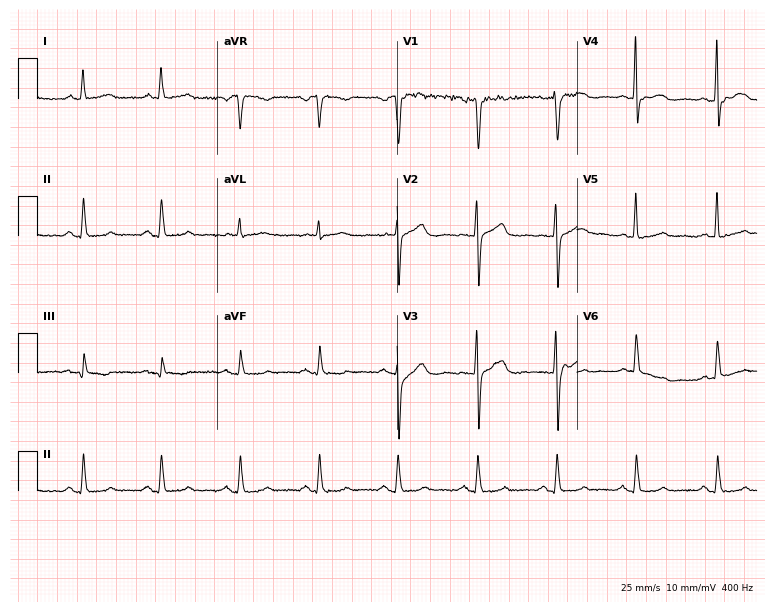
12-lead ECG from a woman, 52 years old. Screened for six findings — first-degree AV block, right bundle branch block, left bundle branch block, sinus bradycardia, atrial fibrillation, sinus tachycardia — none is recorded. Findings outside these six are not listed.